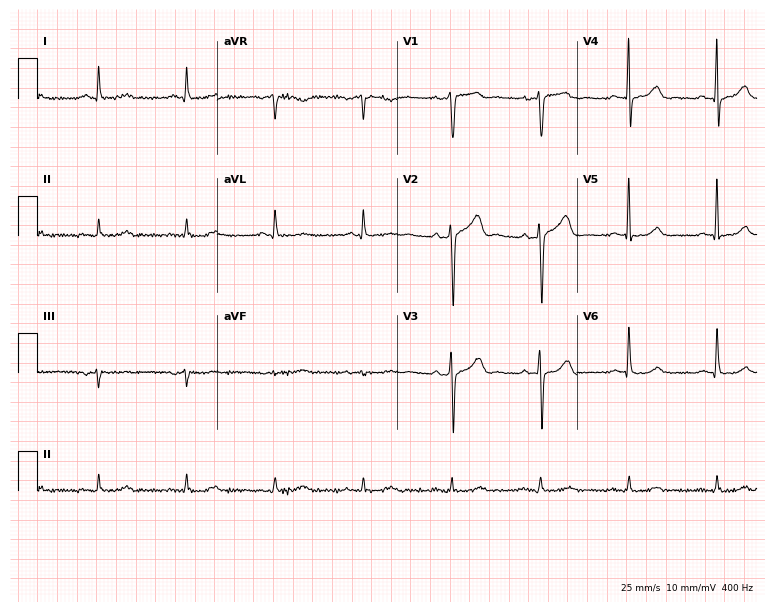
Resting 12-lead electrocardiogram. Patient: a male, 79 years old. Read as a normal ECG.